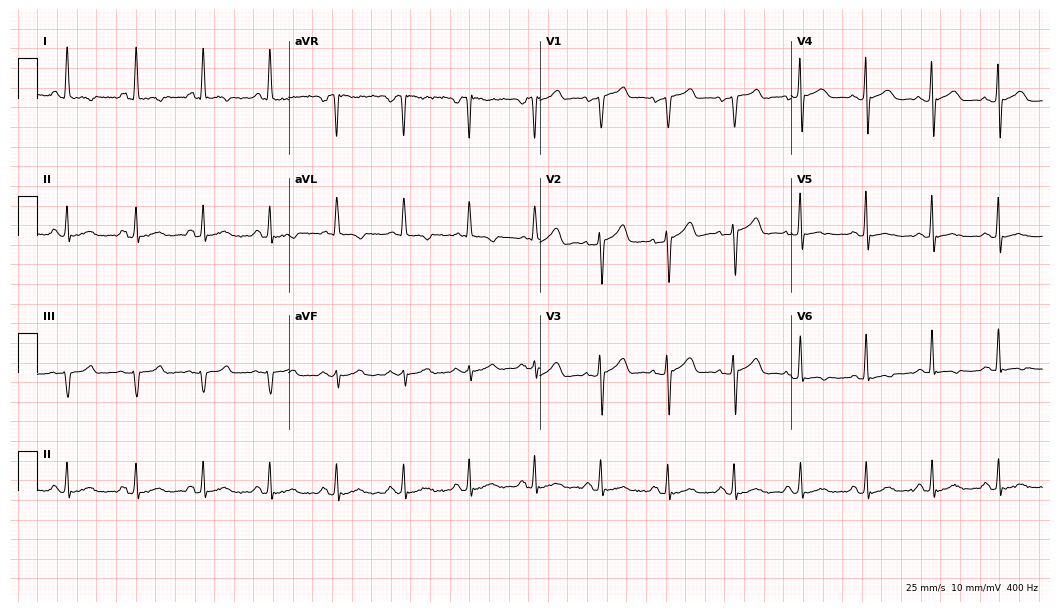
Electrocardiogram, a 69-year-old female patient. Of the six screened findings (first-degree AV block, right bundle branch block (RBBB), left bundle branch block (LBBB), sinus bradycardia, atrial fibrillation (AF), sinus tachycardia), none is recorded. Only these six findings were labelled.